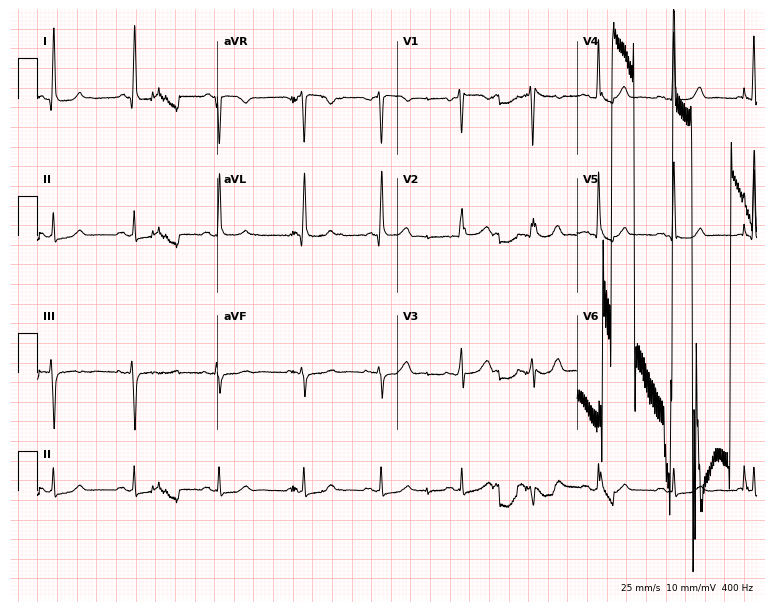
Standard 12-lead ECG recorded from a 74-year-old woman (7.3-second recording at 400 Hz). None of these six findings is recorded: first-degree AV block, right bundle branch block (RBBB), left bundle branch block (LBBB), sinus bradycardia, atrial fibrillation (AF), sinus tachycardia. Findings outside these six are not listed.